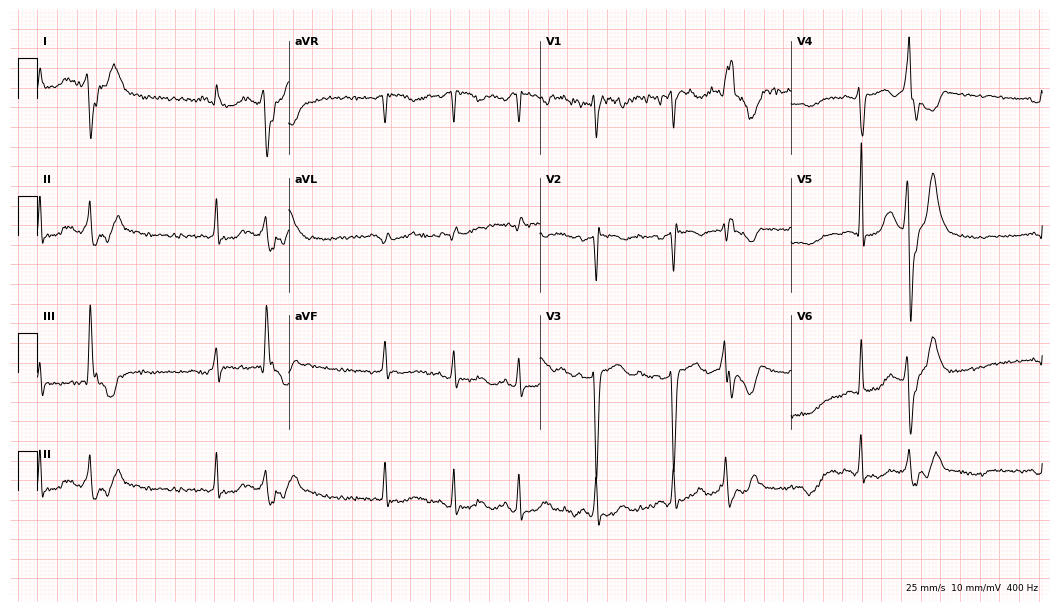
Electrocardiogram (10.2-second recording at 400 Hz), a male, 40 years old. Of the six screened findings (first-degree AV block, right bundle branch block, left bundle branch block, sinus bradycardia, atrial fibrillation, sinus tachycardia), none is recorded. Only these six findings were labelled.